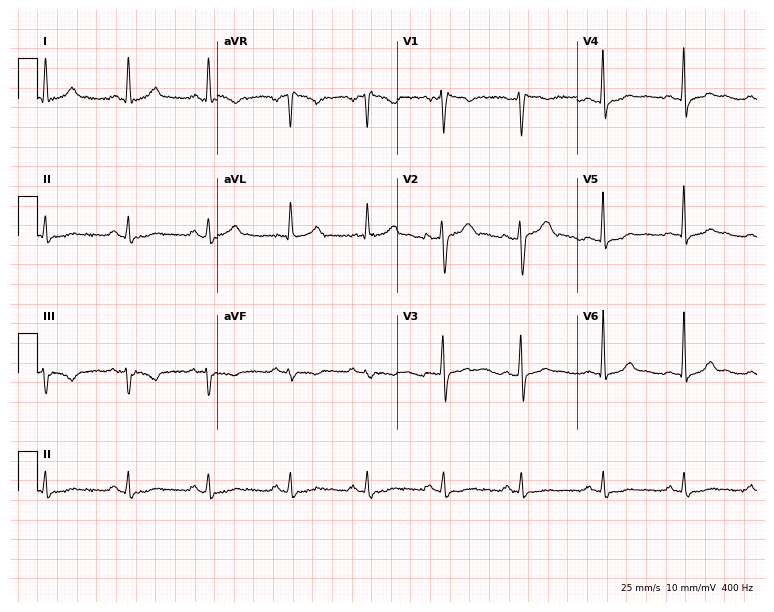
Standard 12-lead ECG recorded from a 42-year-old male patient. None of these six findings is recorded: first-degree AV block, right bundle branch block (RBBB), left bundle branch block (LBBB), sinus bradycardia, atrial fibrillation (AF), sinus tachycardia. Only these six findings were labelled.